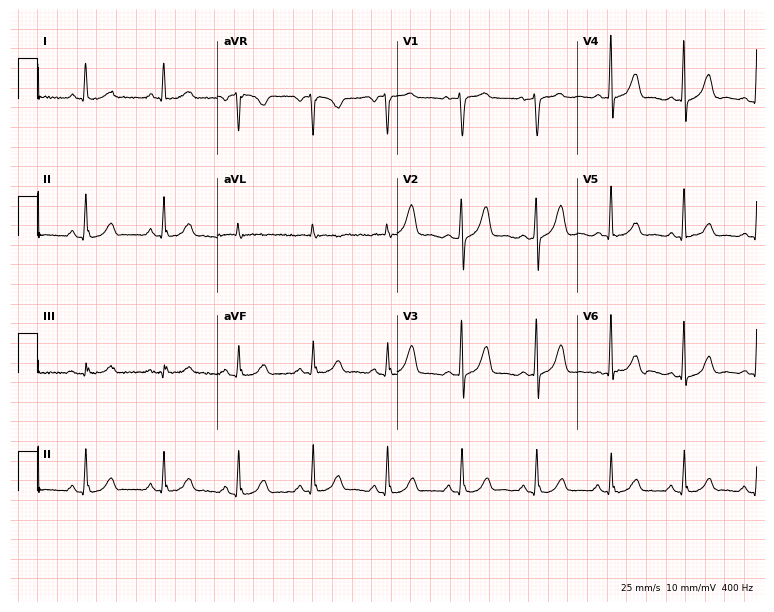
Electrocardiogram, a woman, 50 years old. Overall reading on record: normal ECG.